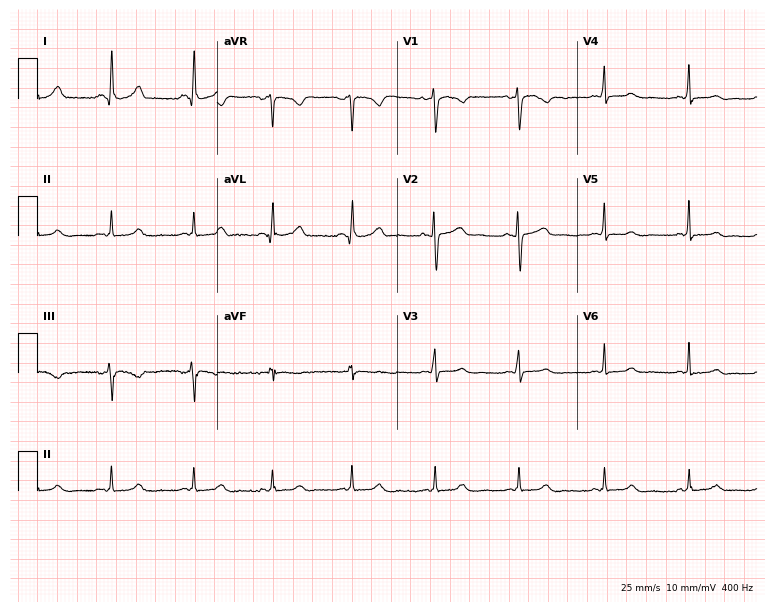
Standard 12-lead ECG recorded from a female, 42 years old (7.3-second recording at 400 Hz). Read as a normal ECG.